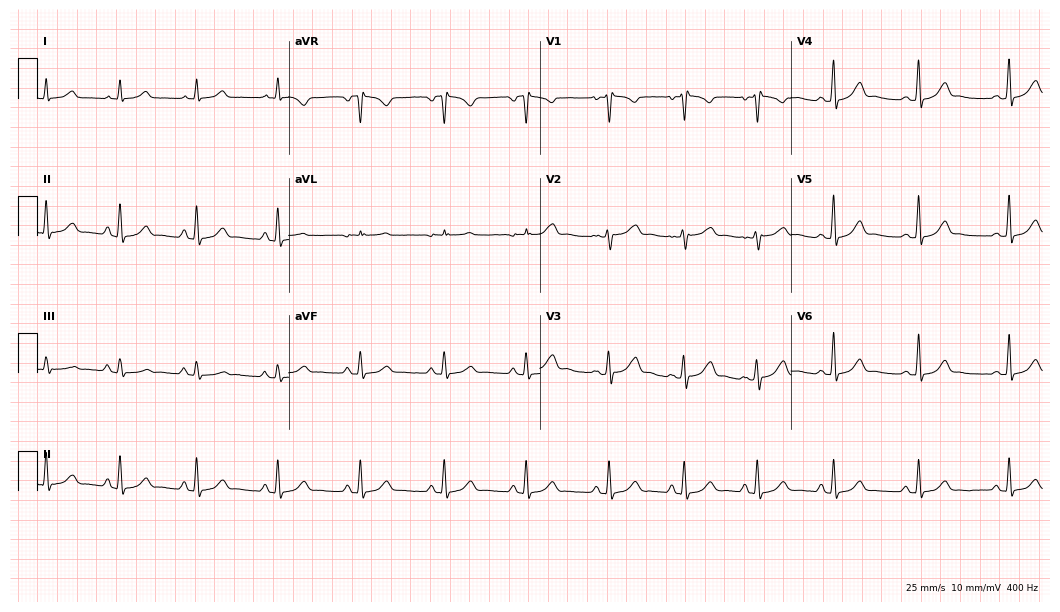
Electrocardiogram, a 28-year-old woman. Overall reading on record: normal ECG.